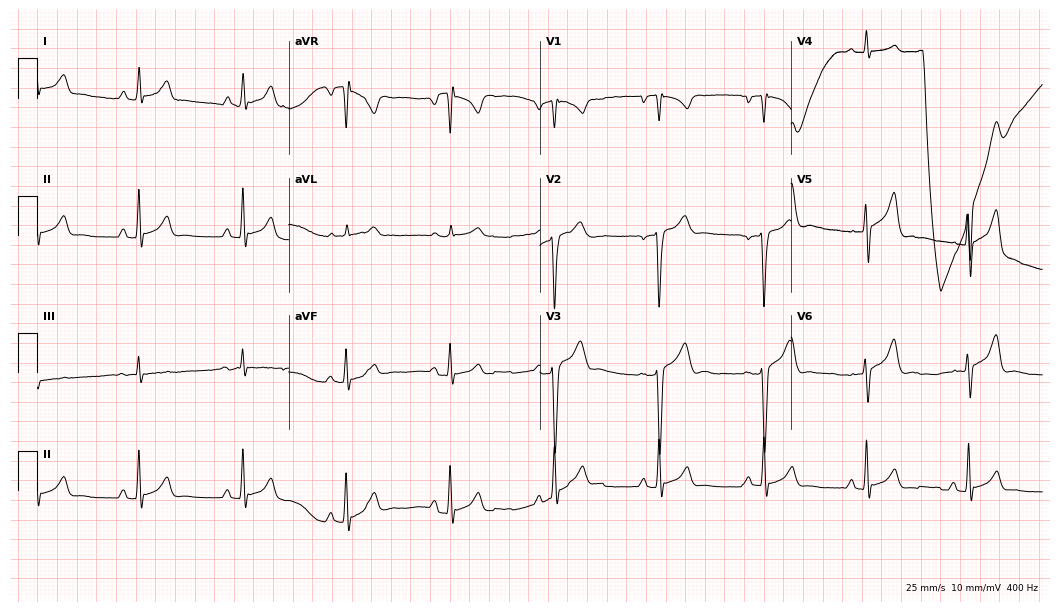
Resting 12-lead electrocardiogram (10.2-second recording at 400 Hz). Patient: a 24-year-old male. None of these six findings is recorded: first-degree AV block, right bundle branch block, left bundle branch block, sinus bradycardia, atrial fibrillation, sinus tachycardia. Other findings, if any, are not listed.